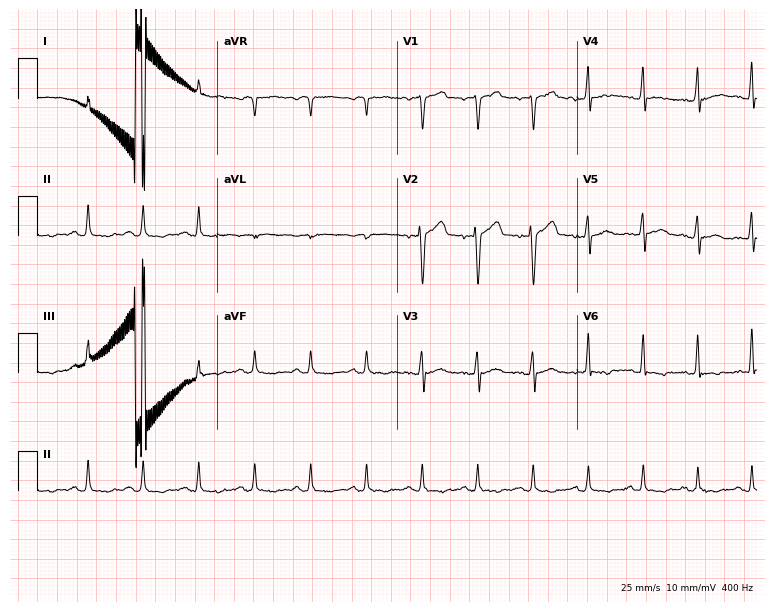
12-lead ECG (7.3-second recording at 400 Hz) from a 31-year-old male. Findings include sinus tachycardia (a sinus rate of 100 beats per minute or more).